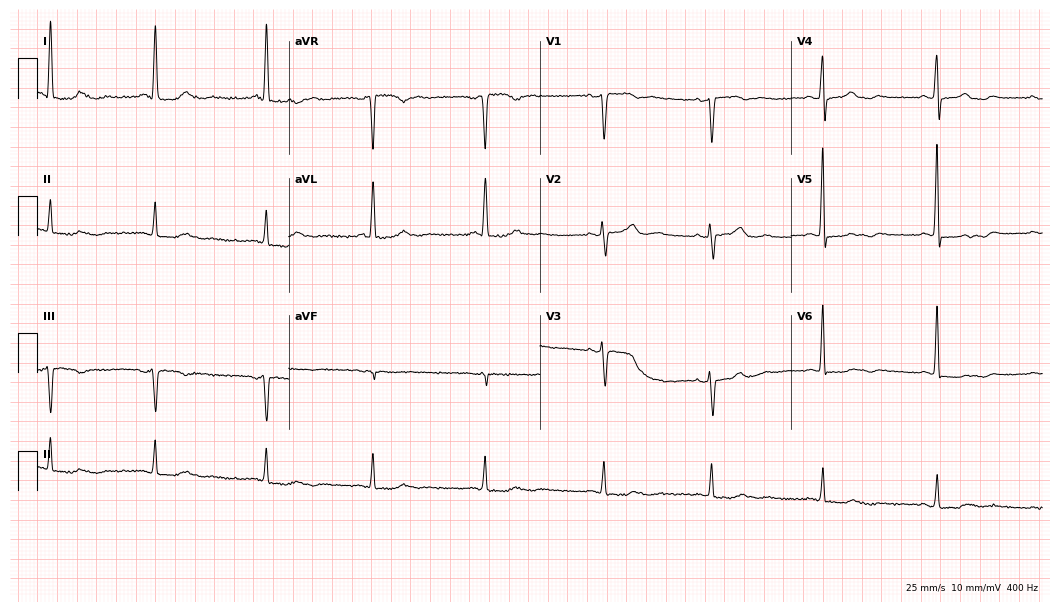
ECG (10.2-second recording at 400 Hz) — a woman, 60 years old. Screened for six findings — first-degree AV block, right bundle branch block, left bundle branch block, sinus bradycardia, atrial fibrillation, sinus tachycardia — none is recorded. Other findings, if any, are not listed.